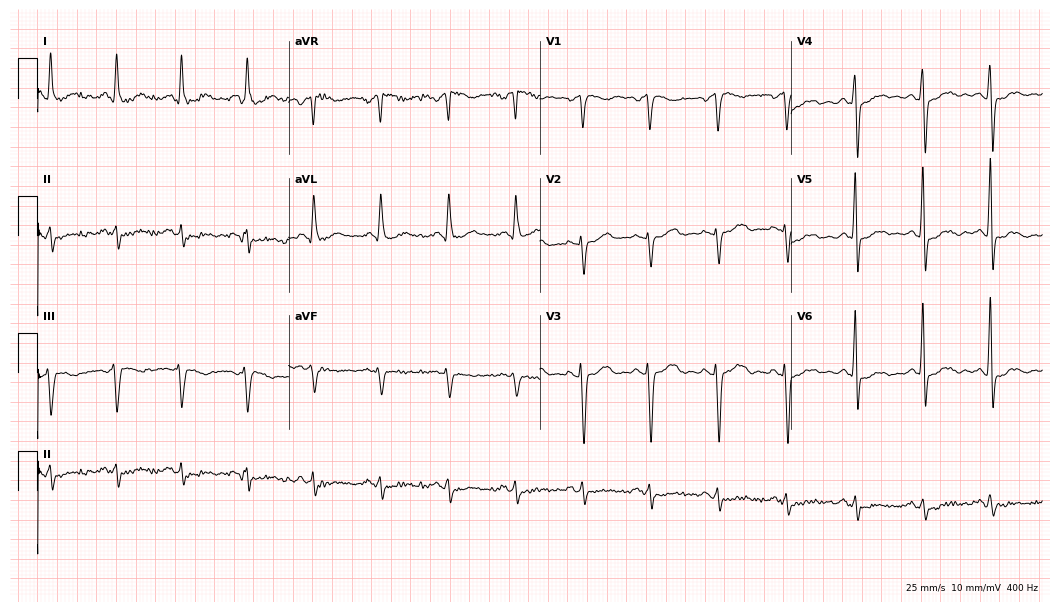
12-lead ECG from a 60-year-old male. Screened for six findings — first-degree AV block, right bundle branch block, left bundle branch block, sinus bradycardia, atrial fibrillation, sinus tachycardia — none is recorded. Only these six findings were labelled.